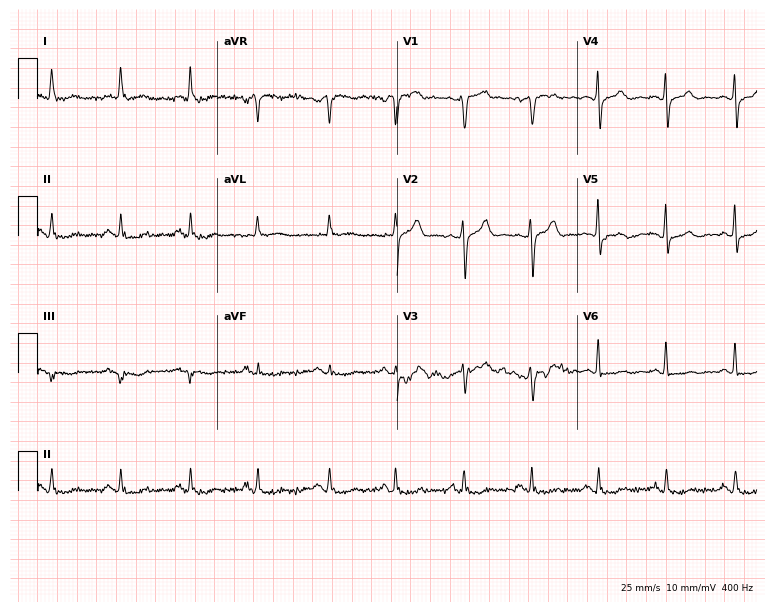
Standard 12-lead ECG recorded from a 65-year-old male. None of these six findings is recorded: first-degree AV block, right bundle branch block, left bundle branch block, sinus bradycardia, atrial fibrillation, sinus tachycardia. Only these six findings were labelled.